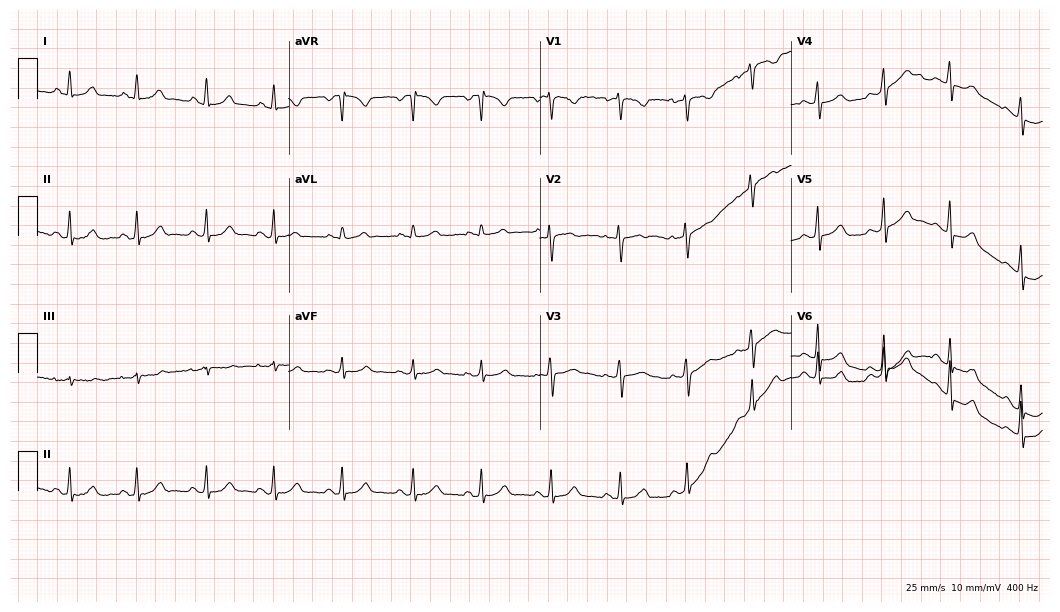
12-lead ECG from a woman, 25 years old. Labelled as a normal ECG.